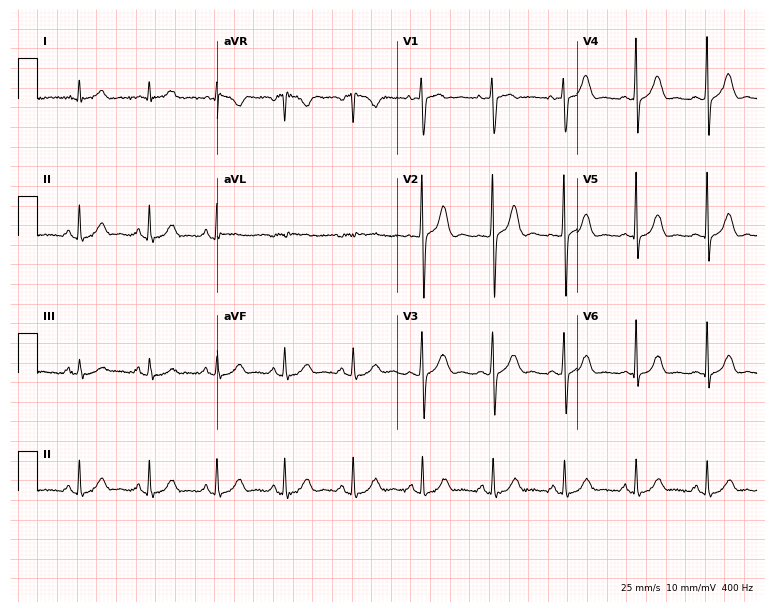
12-lead ECG from a female, 29 years old. Labelled as a normal ECG.